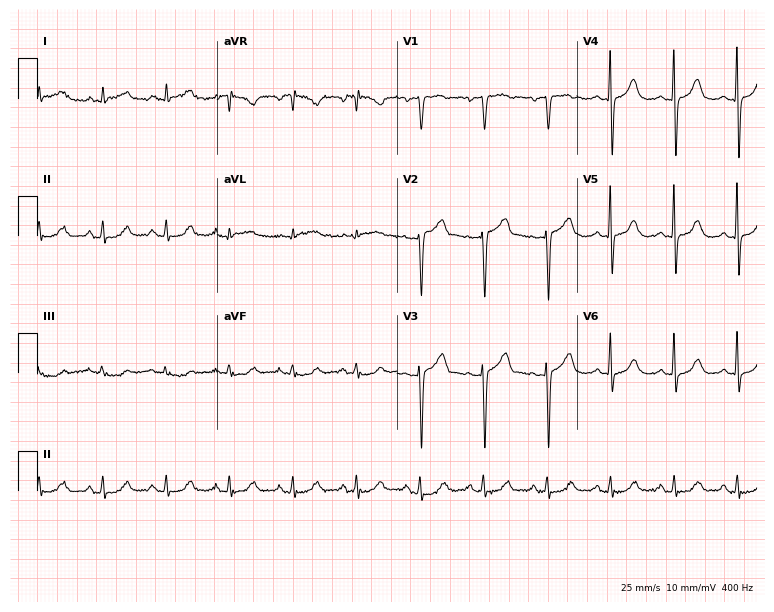
Resting 12-lead electrocardiogram. Patient: a 61-year-old female. None of these six findings is recorded: first-degree AV block, right bundle branch block (RBBB), left bundle branch block (LBBB), sinus bradycardia, atrial fibrillation (AF), sinus tachycardia.